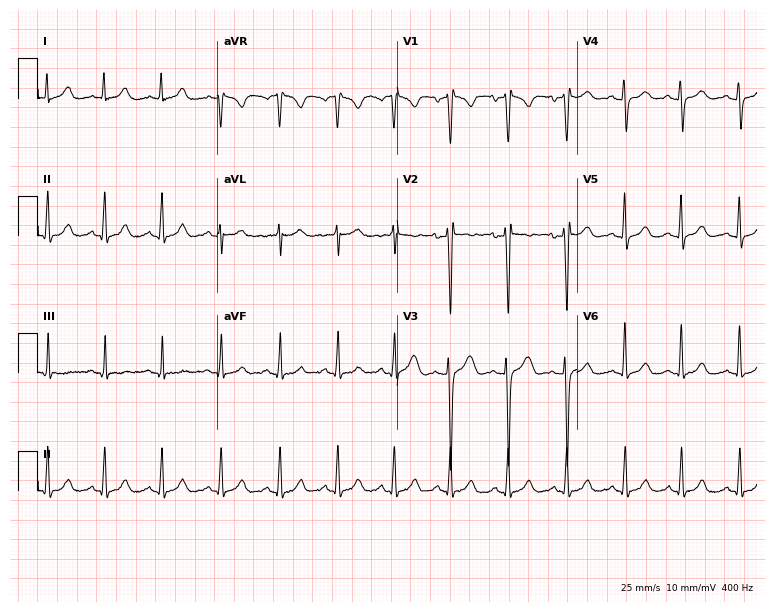
12-lead ECG (7.3-second recording at 400 Hz) from a female, 25 years old. Screened for six findings — first-degree AV block, right bundle branch block, left bundle branch block, sinus bradycardia, atrial fibrillation, sinus tachycardia — none is recorded.